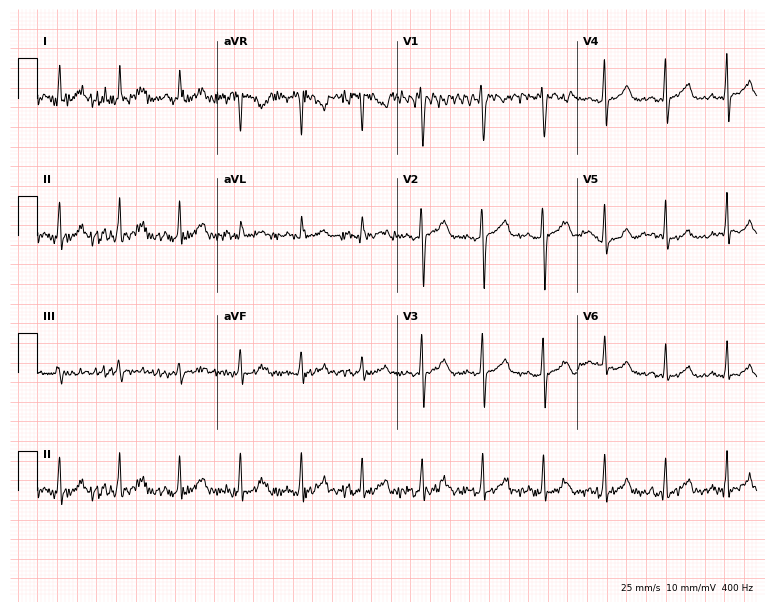
ECG — a female patient, 38 years old. Screened for six findings — first-degree AV block, right bundle branch block, left bundle branch block, sinus bradycardia, atrial fibrillation, sinus tachycardia — none is recorded. Other findings, if any, are not listed.